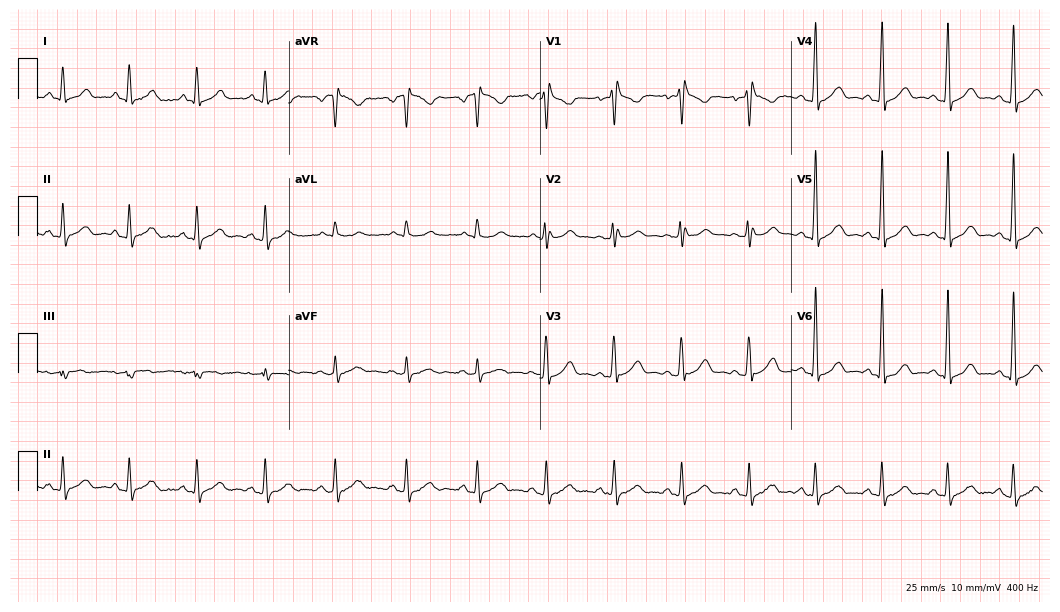
12-lead ECG (10.2-second recording at 400 Hz) from a 41-year-old male. Screened for six findings — first-degree AV block, right bundle branch block, left bundle branch block, sinus bradycardia, atrial fibrillation, sinus tachycardia — none is recorded.